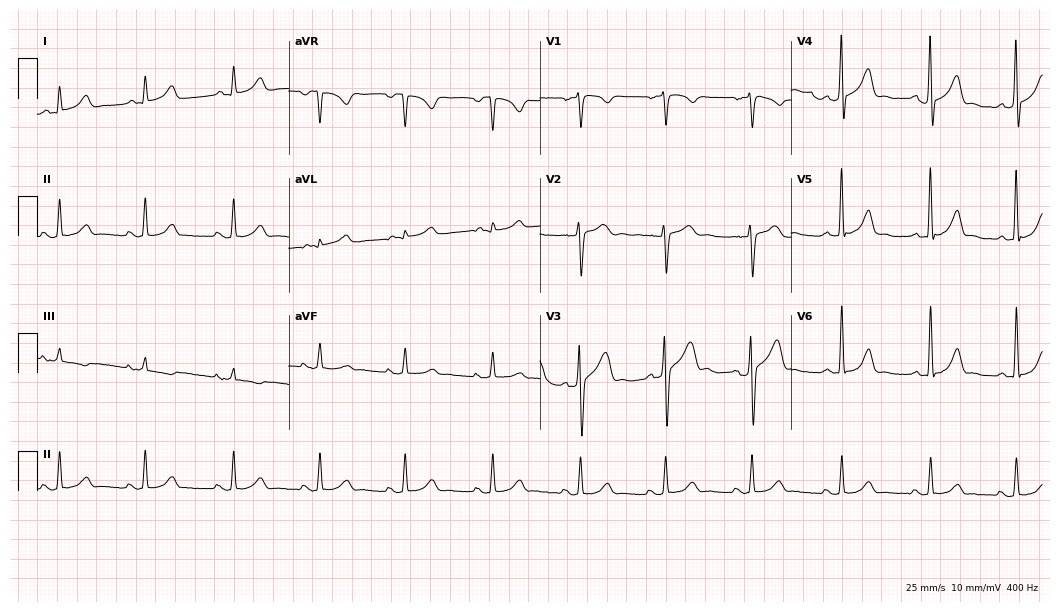
12-lead ECG from a 34-year-old man (10.2-second recording at 400 Hz). Recorded interpretation: within normal limits.